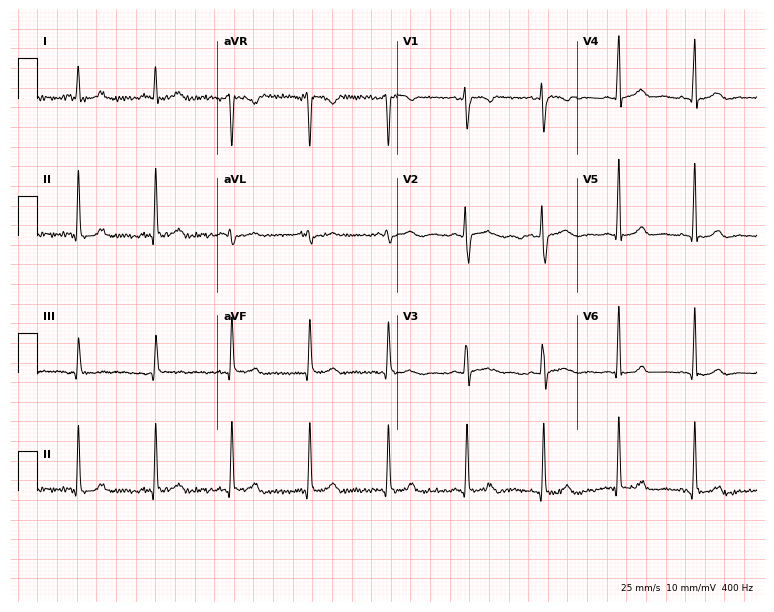
12-lead ECG from a female, 50 years old (7.3-second recording at 400 Hz). Recorded interpretation: within normal limits.